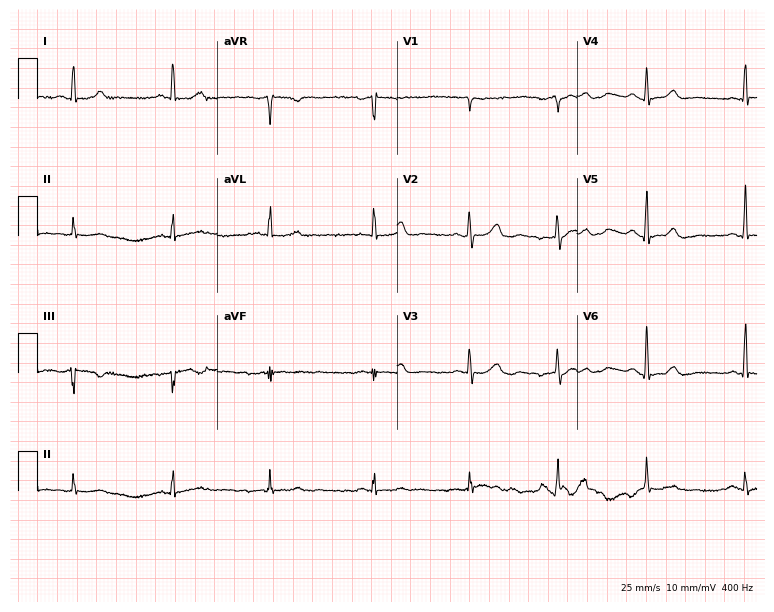
Standard 12-lead ECG recorded from a 51-year-old female (7.3-second recording at 400 Hz). Read as a normal ECG.